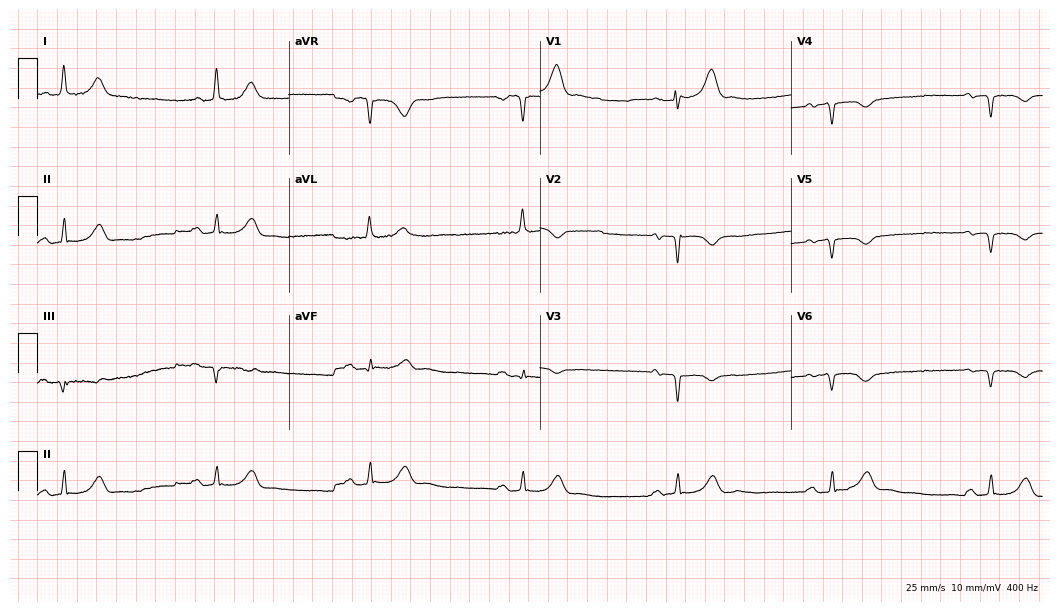
Resting 12-lead electrocardiogram. Patient: a female, 72 years old. The tracing shows sinus bradycardia (a sinus rate of 50 beats per minute or less).